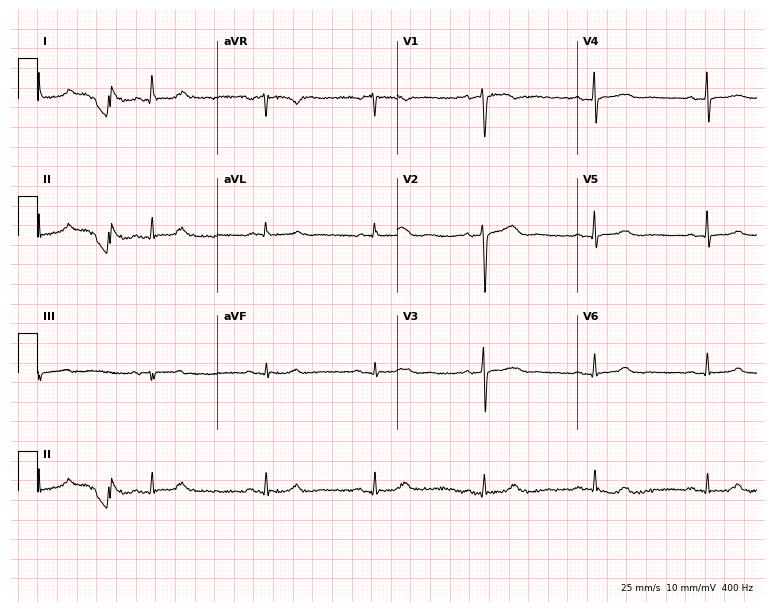
Resting 12-lead electrocardiogram (7.3-second recording at 400 Hz). Patient: a woman, 57 years old. None of these six findings is recorded: first-degree AV block, right bundle branch block, left bundle branch block, sinus bradycardia, atrial fibrillation, sinus tachycardia.